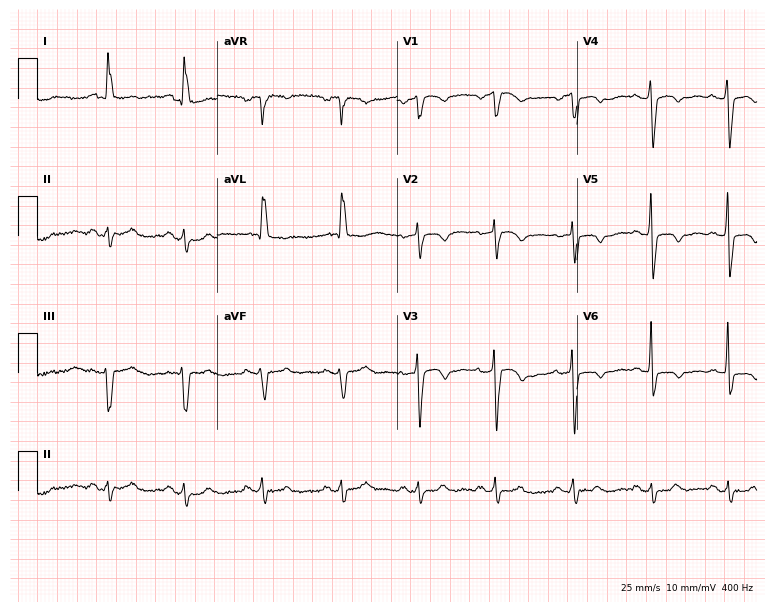
12-lead ECG from a female patient, 77 years old. No first-degree AV block, right bundle branch block, left bundle branch block, sinus bradycardia, atrial fibrillation or sinus tachycardia recorded for this tracing. Other findings, if any, are not listed.